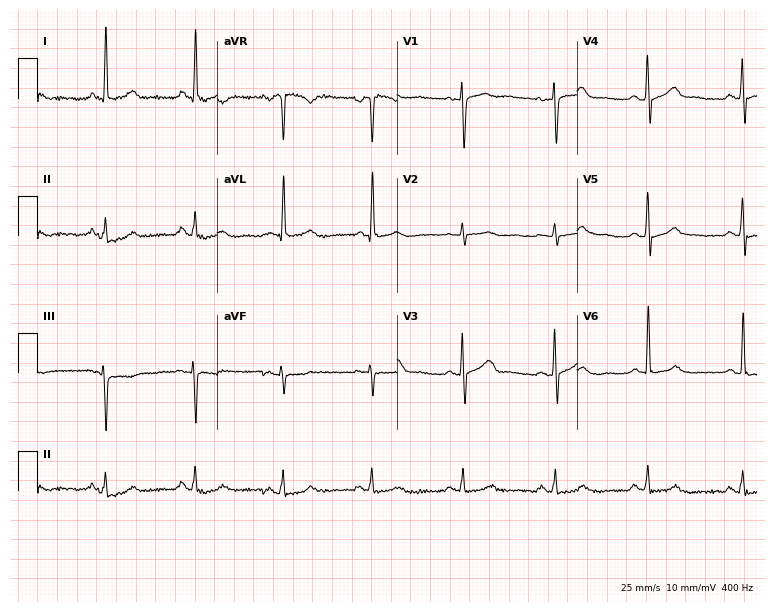
Standard 12-lead ECG recorded from a 62-year-old woman (7.3-second recording at 400 Hz). None of these six findings is recorded: first-degree AV block, right bundle branch block (RBBB), left bundle branch block (LBBB), sinus bradycardia, atrial fibrillation (AF), sinus tachycardia.